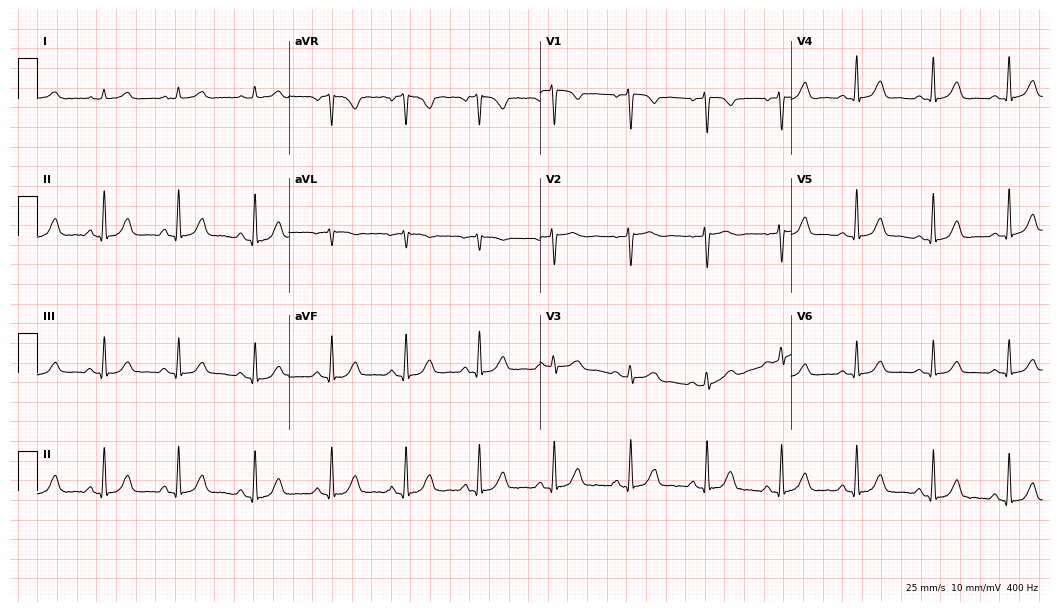
12-lead ECG from a 42-year-old female (10.2-second recording at 400 Hz). Recorded interpretation: within normal limits.